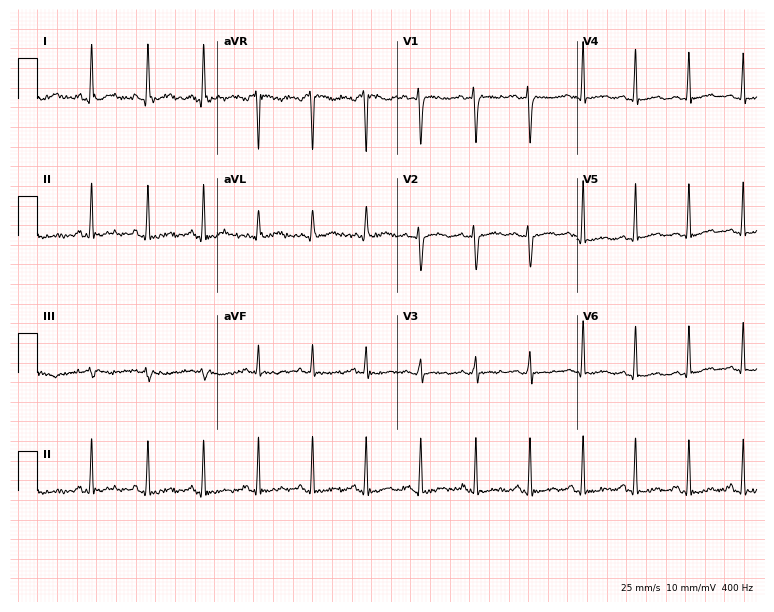
12-lead ECG from a female, 29 years old. Findings include sinus tachycardia (a sinus rate of 100 beats per minute or more).